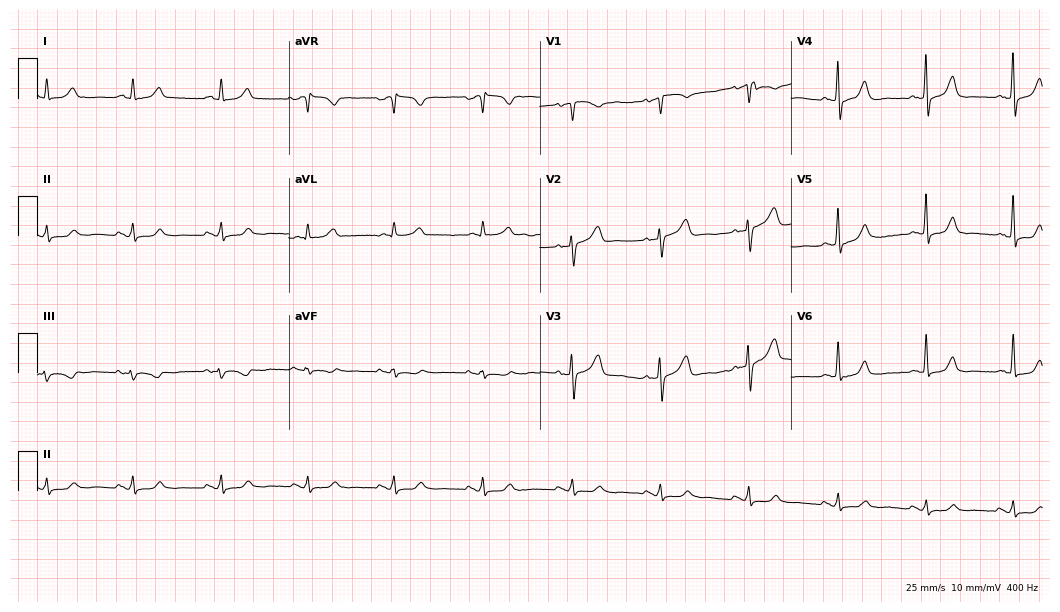
Resting 12-lead electrocardiogram (10.2-second recording at 400 Hz). Patient: a 61-year-old male. None of these six findings is recorded: first-degree AV block, right bundle branch block, left bundle branch block, sinus bradycardia, atrial fibrillation, sinus tachycardia.